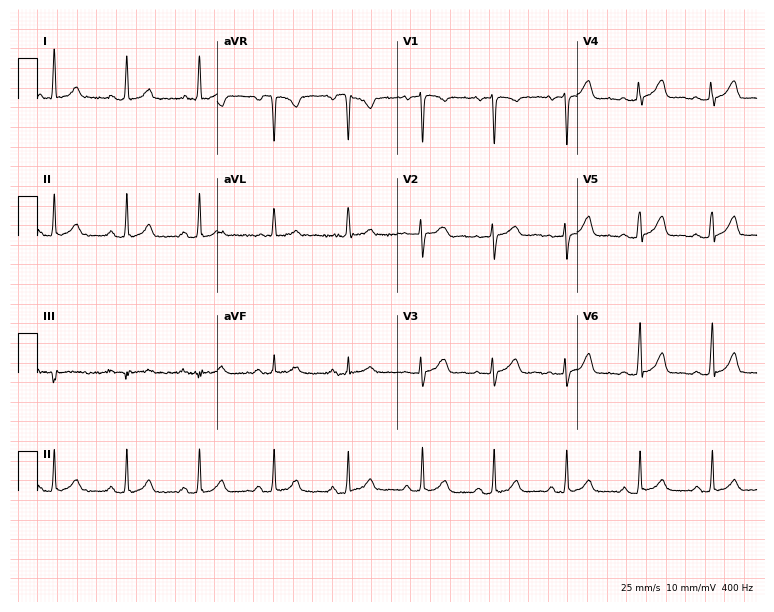
ECG (7.3-second recording at 400 Hz) — a 51-year-old woman. Labelled as a normal ECG.